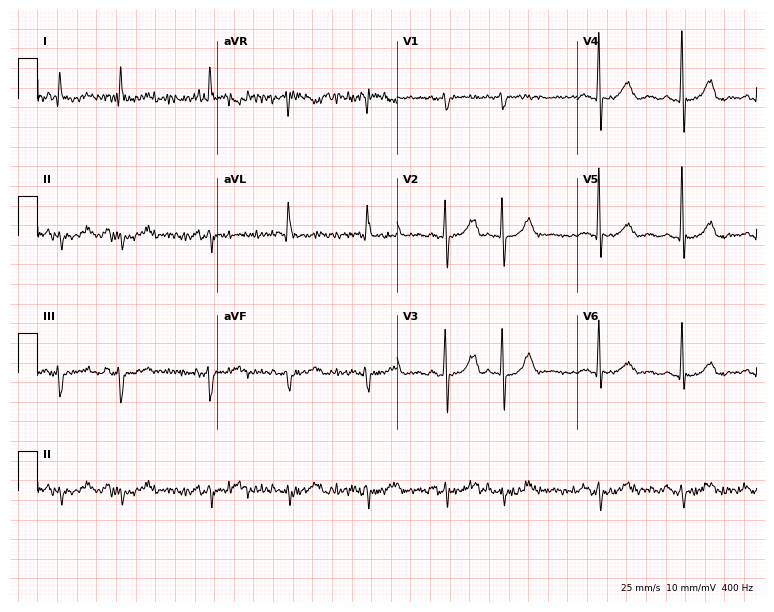
Resting 12-lead electrocardiogram. Patient: a female, 80 years old. None of these six findings is recorded: first-degree AV block, right bundle branch block, left bundle branch block, sinus bradycardia, atrial fibrillation, sinus tachycardia. Only these six findings were labelled.